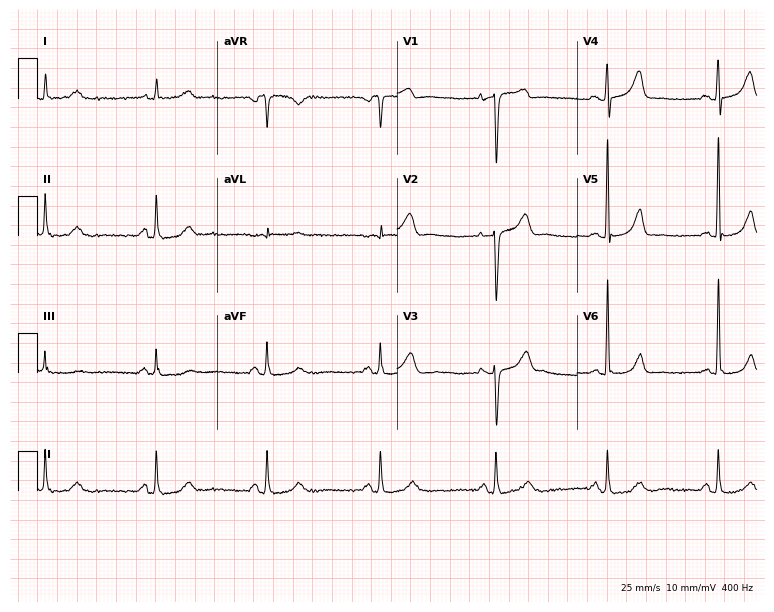
12-lead ECG from a 72-year-old female. Recorded interpretation: within normal limits.